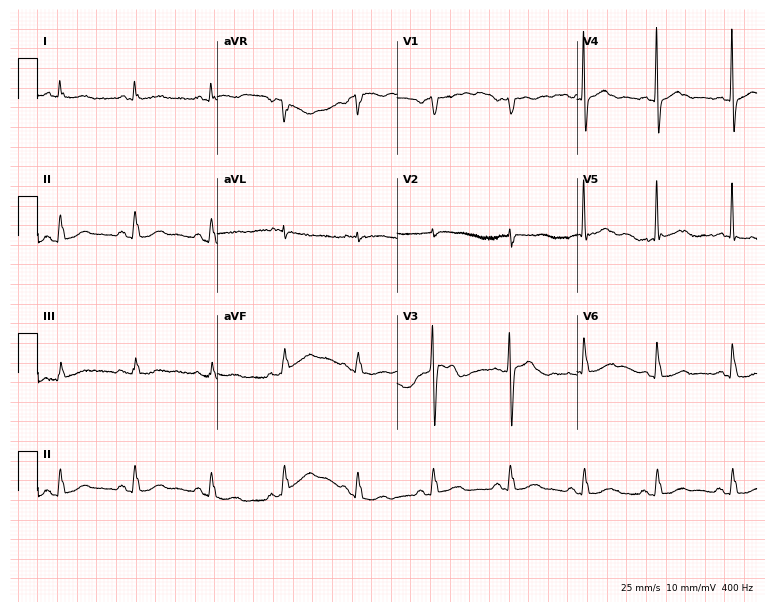
12-lead ECG from a 77-year-old female (7.3-second recording at 400 Hz). No first-degree AV block, right bundle branch block, left bundle branch block, sinus bradycardia, atrial fibrillation or sinus tachycardia recorded for this tracing.